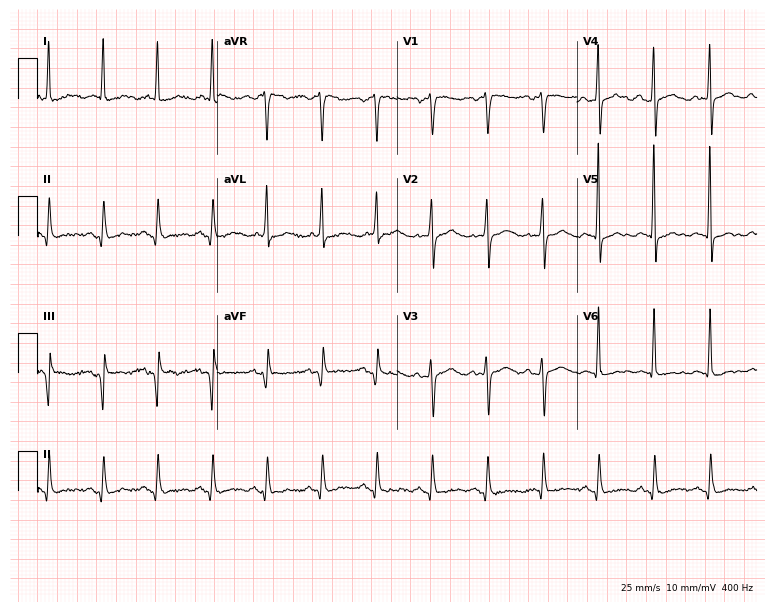
12-lead ECG (7.3-second recording at 400 Hz) from a 62-year-old female. Findings include sinus tachycardia (a sinus rate of 100 beats per minute or more).